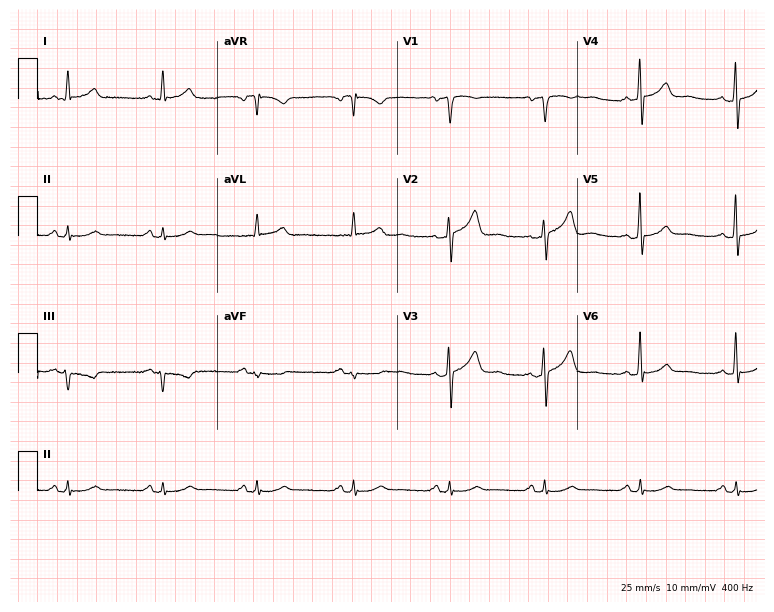
12-lead ECG from a 67-year-old male patient (7.3-second recording at 400 Hz). No first-degree AV block, right bundle branch block, left bundle branch block, sinus bradycardia, atrial fibrillation or sinus tachycardia recorded for this tracing. Findings outside these six are not listed.